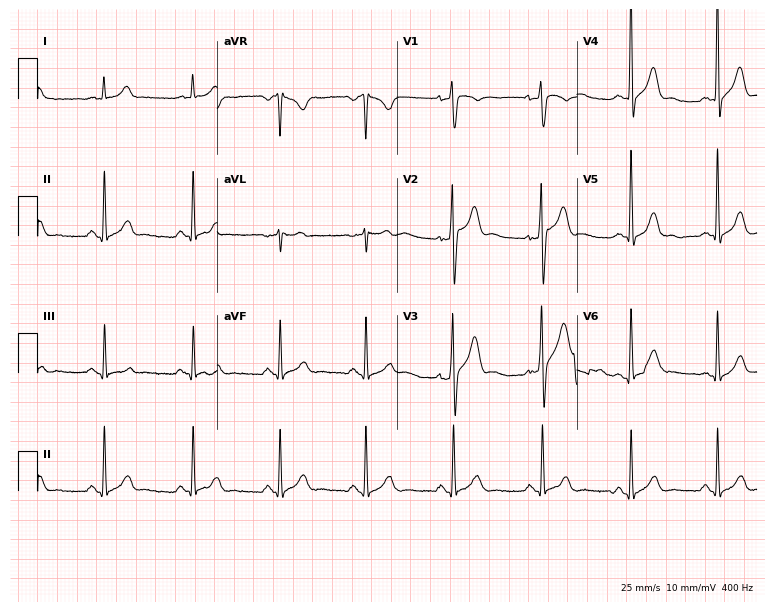
12-lead ECG (7.3-second recording at 400 Hz) from a 60-year-old male. Labelled as a normal ECG.